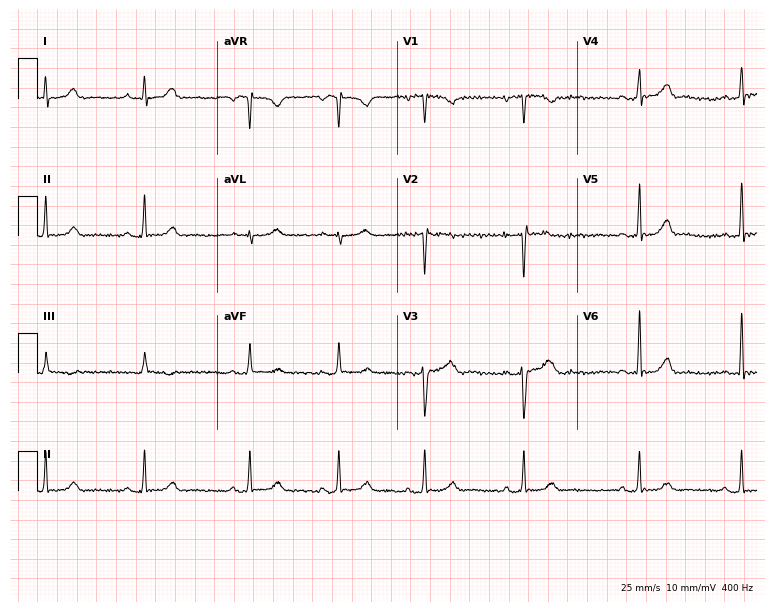
12-lead ECG from a female patient, 30 years old. Screened for six findings — first-degree AV block, right bundle branch block, left bundle branch block, sinus bradycardia, atrial fibrillation, sinus tachycardia — none is recorded.